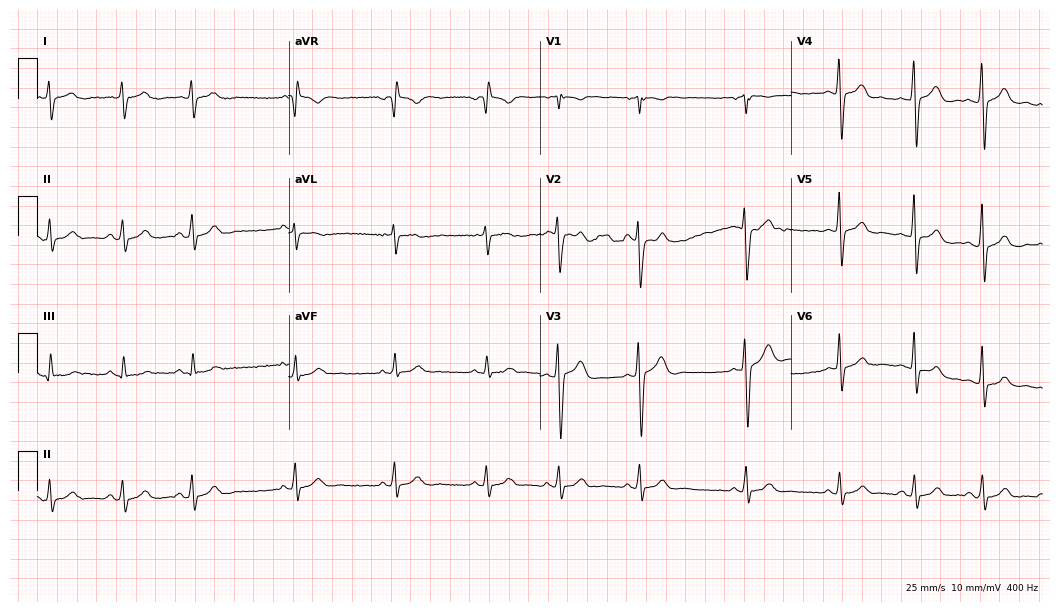
Electrocardiogram (10.2-second recording at 400 Hz), a male patient, 25 years old. Of the six screened findings (first-degree AV block, right bundle branch block, left bundle branch block, sinus bradycardia, atrial fibrillation, sinus tachycardia), none is recorded.